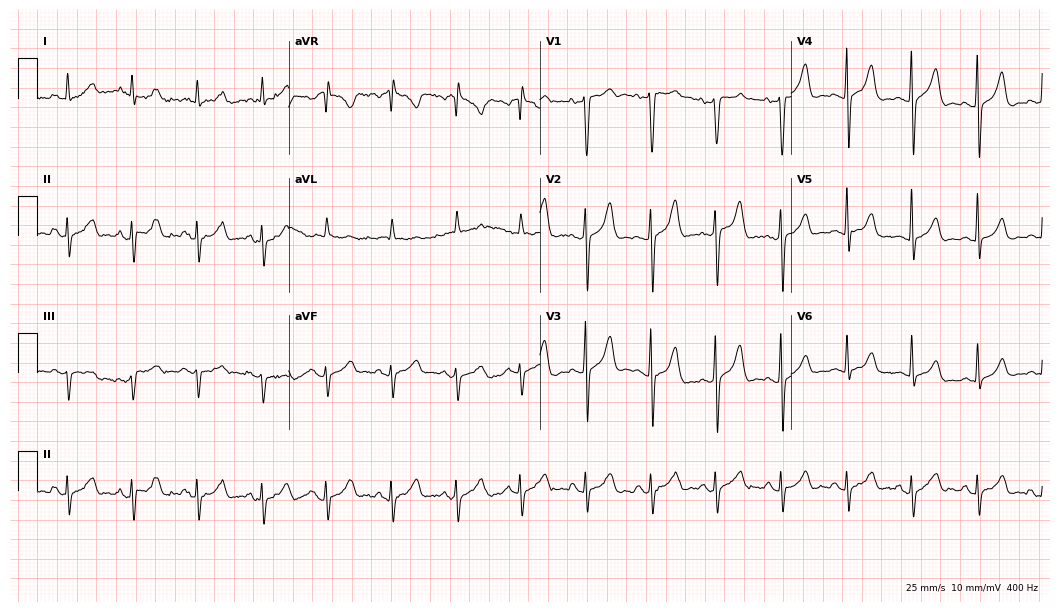
12-lead ECG (10.2-second recording at 400 Hz) from an 80-year-old woman. Screened for six findings — first-degree AV block, right bundle branch block, left bundle branch block, sinus bradycardia, atrial fibrillation, sinus tachycardia — none is recorded. Other findings, if any, are not listed.